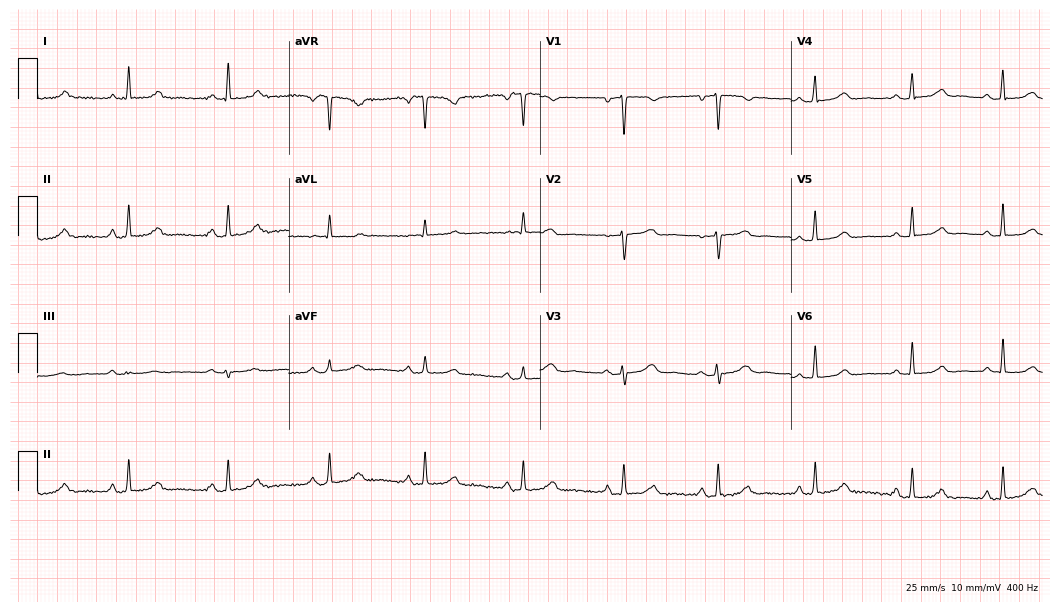
12-lead ECG from a 41-year-old woman. Labelled as a normal ECG.